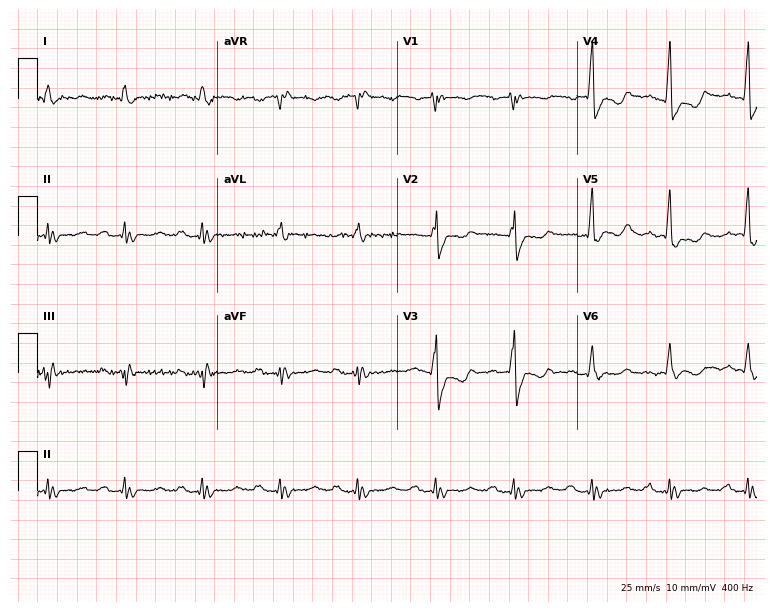
12-lead ECG from a male, 77 years old. Shows right bundle branch block (RBBB).